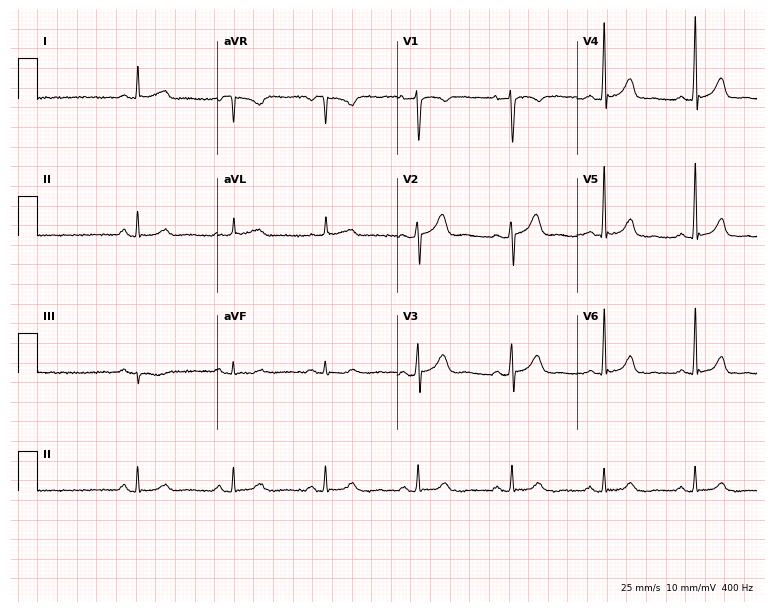
Resting 12-lead electrocardiogram (7.3-second recording at 400 Hz). Patient: a 49-year-old man. Read as a normal ECG.